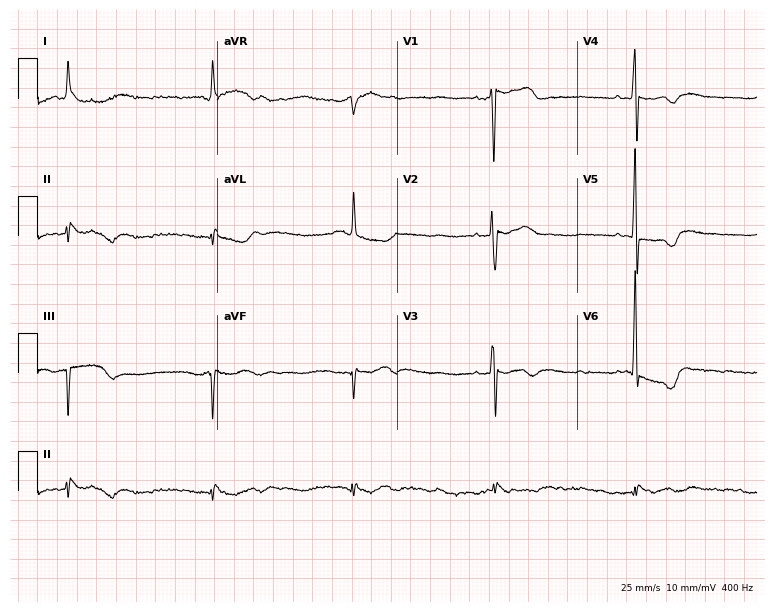
12-lead ECG (7.3-second recording at 400 Hz) from a 75-year-old man. Screened for six findings — first-degree AV block, right bundle branch block, left bundle branch block, sinus bradycardia, atrial fibrillation, sinus tachycardia — none is recorded. Other findings, if any, are not listed.